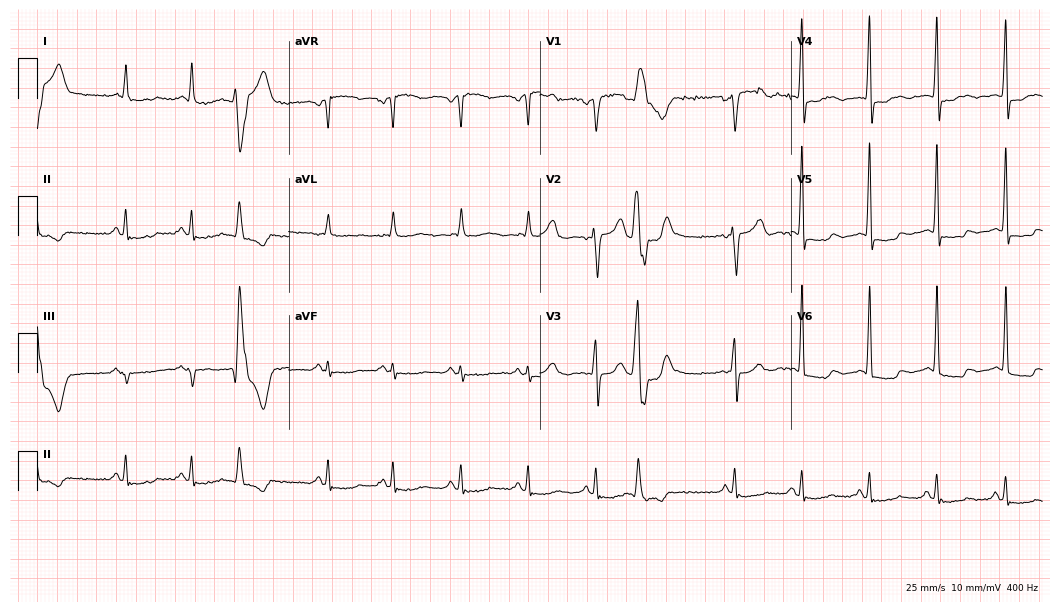
Resting 12-lead electrocardiogram (10.2-second recording at 400 Hz). Patient: a male, 62 years old. None of these six findings is recorded: first-degree AV block, right bundle branch block, left bundle branch block, sinus bradycardia, atrial fibrillation, sinus tachycardia.